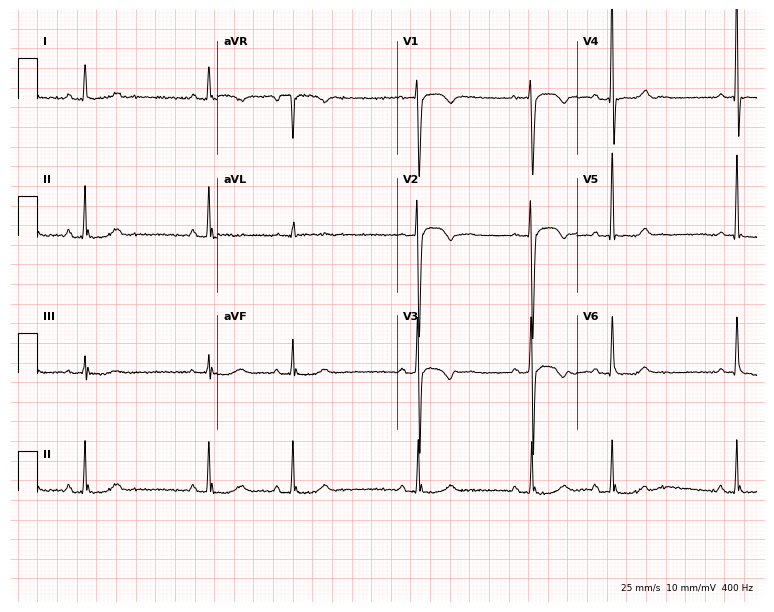
Standard 12-lead ECG recorded from a female patient, 63 years old. None of these six findings is recorded: first-degree AV block, right bundle branch block (RBBB), left bundle branch block (LBBB), sinus bradycardia, atrial fibrillation (AF), sinus tachycardia.